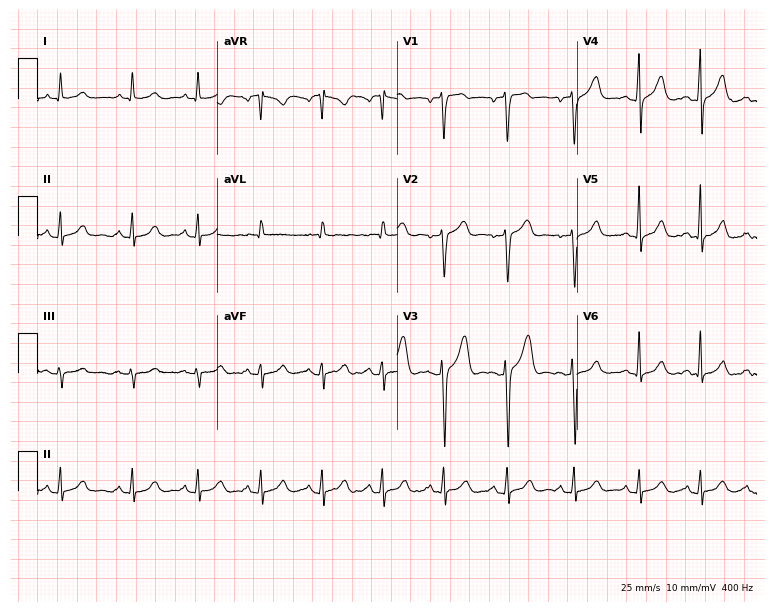
12-lead ECG from a 41-year-old man (7.3-second recording at 400 Hz). No first-degree AV block, right bundle branch block (RBBB), left bundle branch block (LBBB), sinus bradycardia, atrial fibrillation (AF) or sinus tachycardia recorded for this tracing. Findings outside these six are not listed.